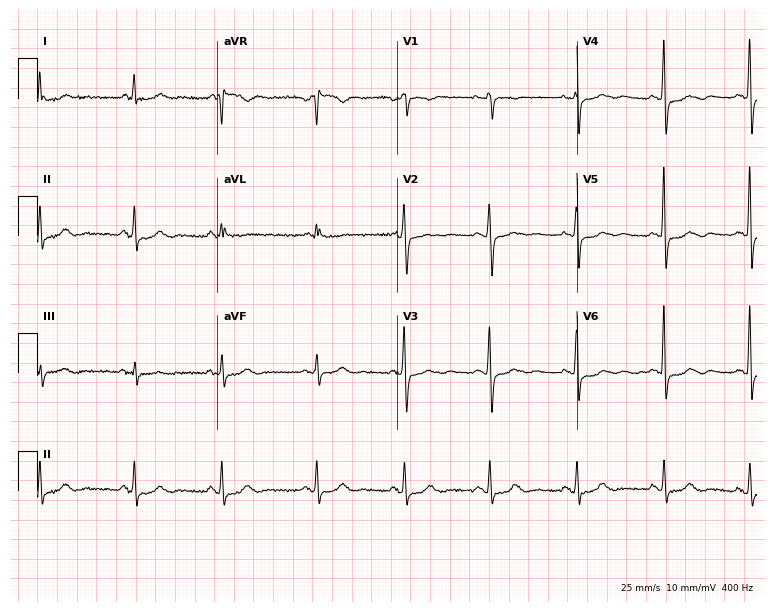
Electrocardiogram, a 64-year-old female. Overall reading on record: normal ECG.